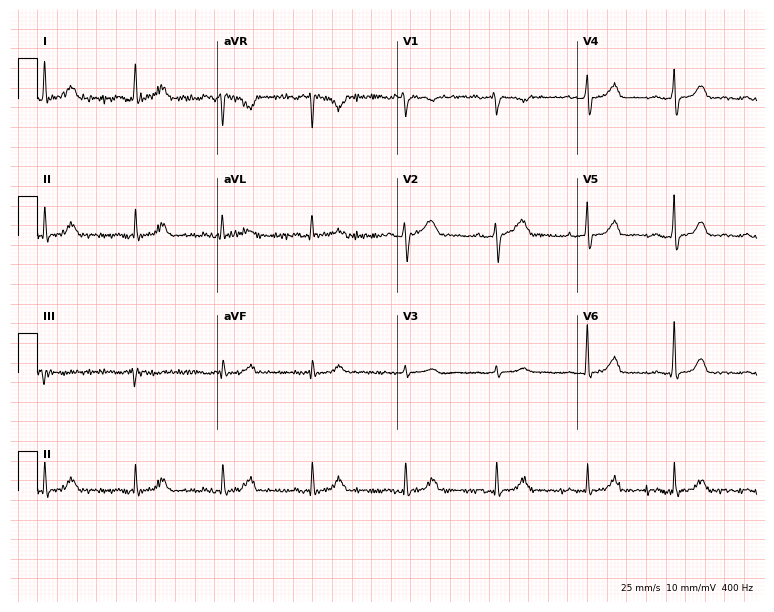
Resting 12-lead electrocardiogram. Patient: a man, 46 years old. None of these six findings is recorded: first-degree AV block, right bundle branch block (RBBB), left bundle branch block (LBBB), sinus bradycardia, atrial fibrillation (AF), sinus tachycardia. Only these six findings were labelled.